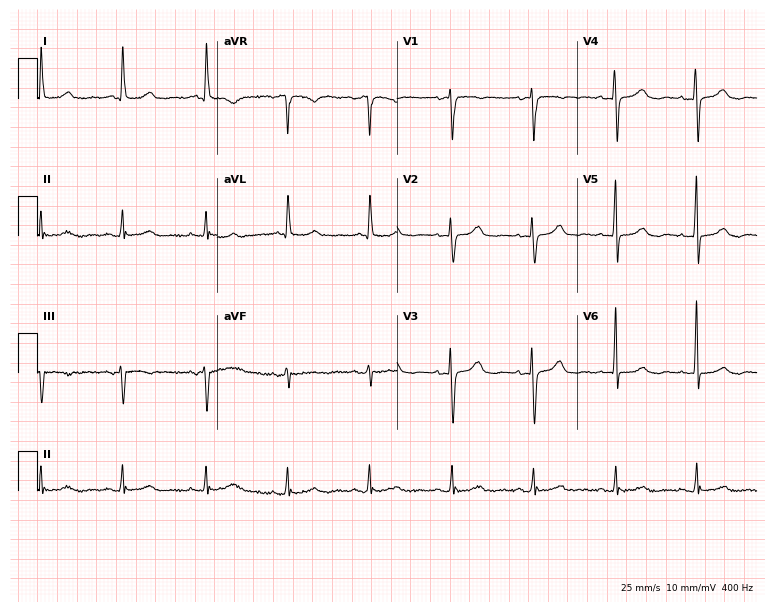
Resting 12-lead electrocardiogram. Patient: a woman, 74 years old. Read as a normal ECG.